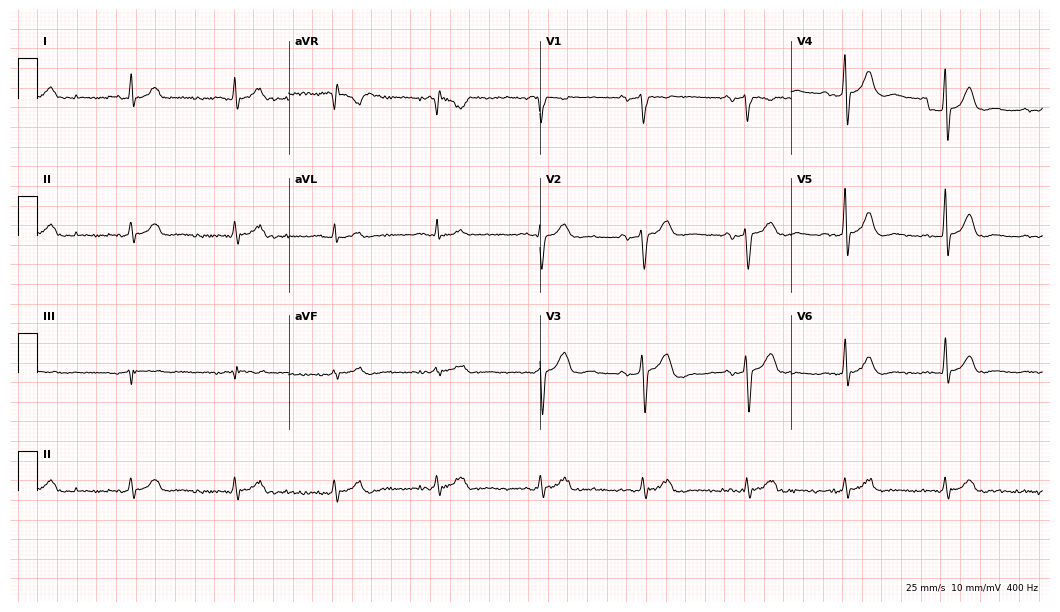
12-lead ECG (10.2-second recording at 400 Hz) from a male patient, 52 years old. Screened for six findings — first-degree AV block, right bundle branch block, left bundle branch block, sinus bradycardia, atrial fibrillation, sinus tachycardia — none is recorded. Other findings, if any, are not listed.